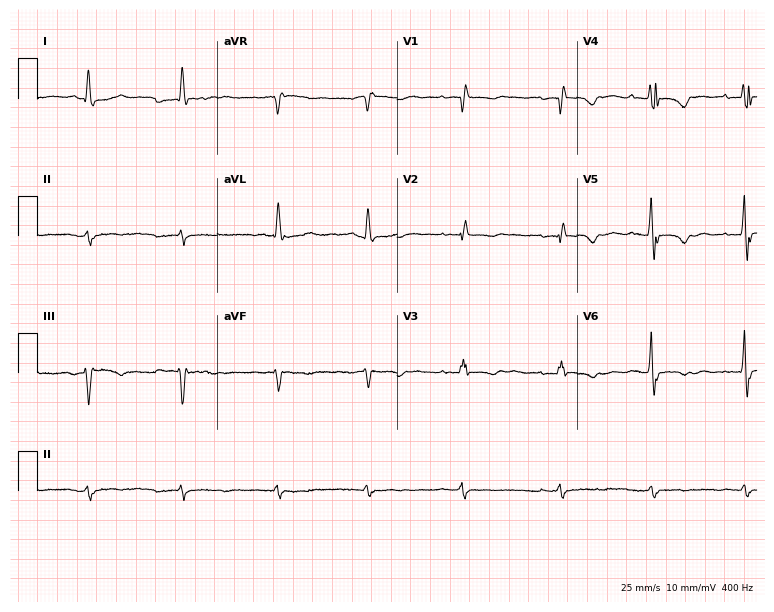
Standard 12-lead ECG recorded from a female patient, 49 years old. None of these six findings is recorded: first-degree AV block, right bundle branch block, left bundle branch block, sinus bradycardia, atrial fibrillation, sinus tachycardia.